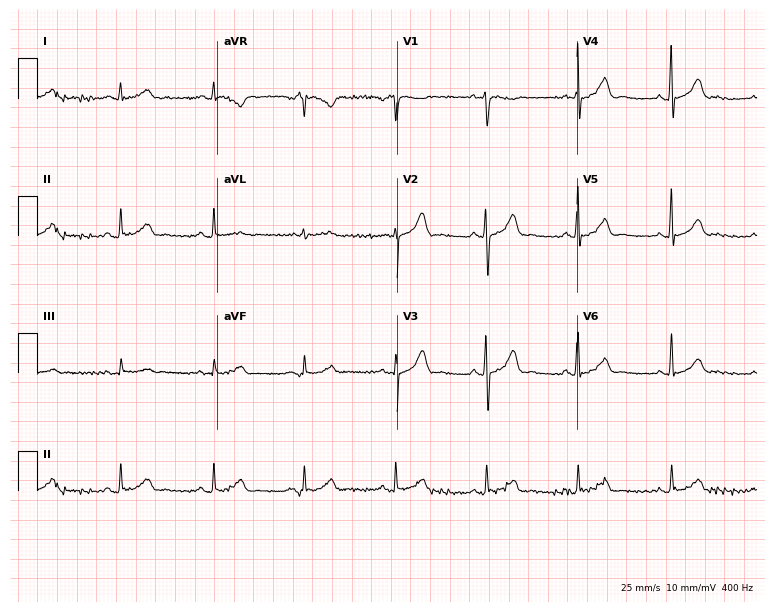
Standard 12-lead ECG recorded from an 85-year-old man. Read as a normal ECG.